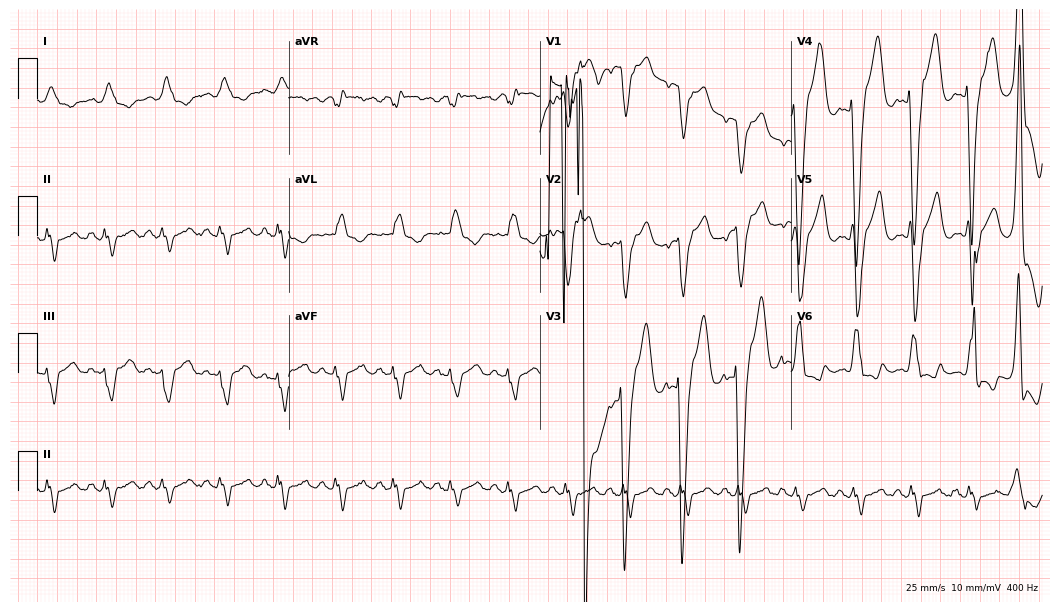
12-lead ECG from a 72-year-old man (10.2-second recording at 400 Hz). Shows left bundle branch block (LBBB), sinus tachycardia (a sinus rate of 100 beats per minute or more).